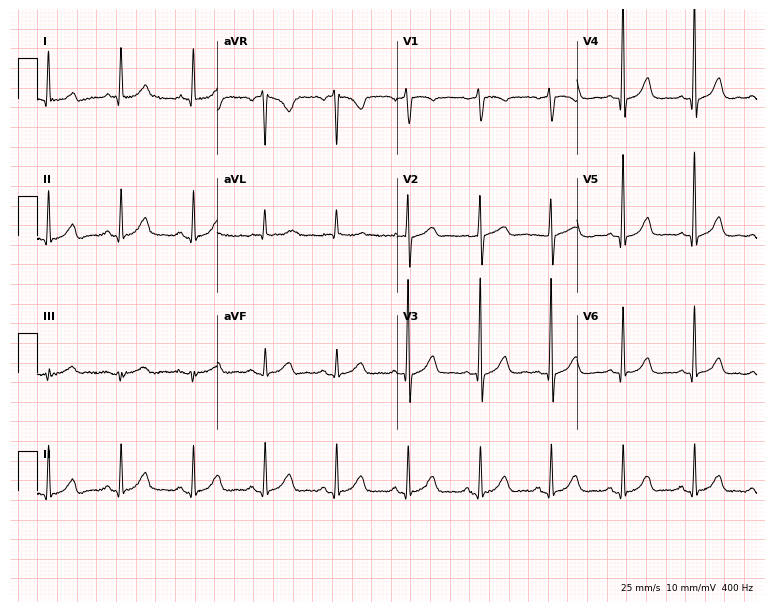
Electrocardiogram (7.3-second recording at 400 Hz), a 74-year-old woman. Overall reading on record: normal ECG.